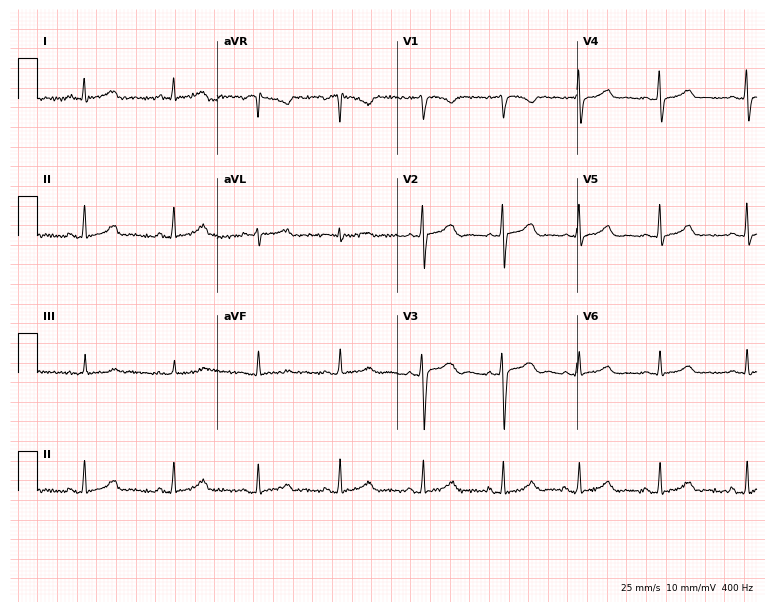
Electrocardiogram, a 40-year-old woman. Overall reading on record: normal ECG.